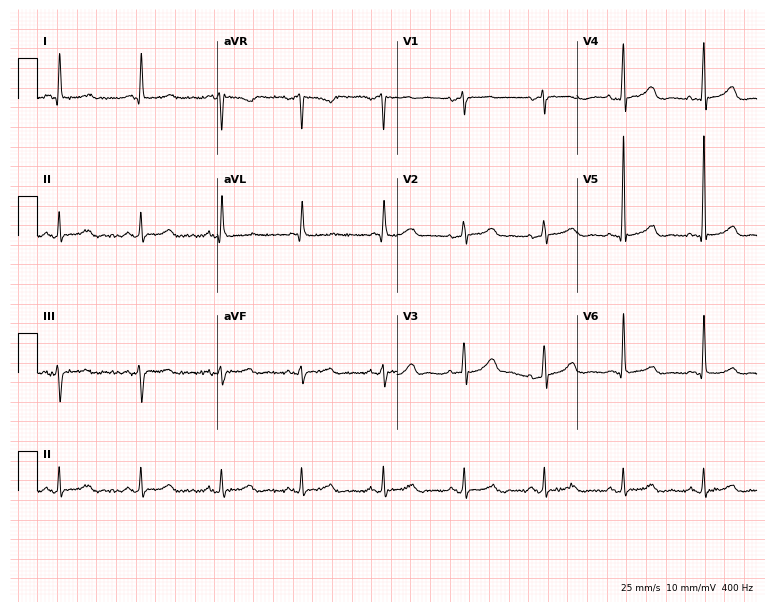
ECG (7.3-second recording at 400 Hz) — a female patient, 77 years old. Labelled as a normal ECG.